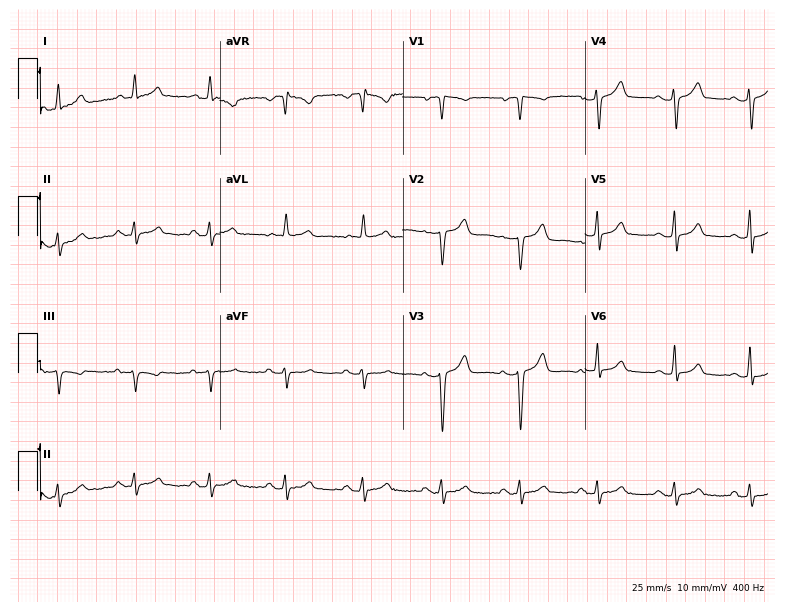
Electrocardiogram, a male, 49 years old. Of the six screened findings (first-degree AV block, right bundle branch block (RBBB), left bundle branch block (LBBB), sinus bradycardia, atrial fibrillation (AF), sinus tachycardia), none is recorded. Findings outside these six are not listed.